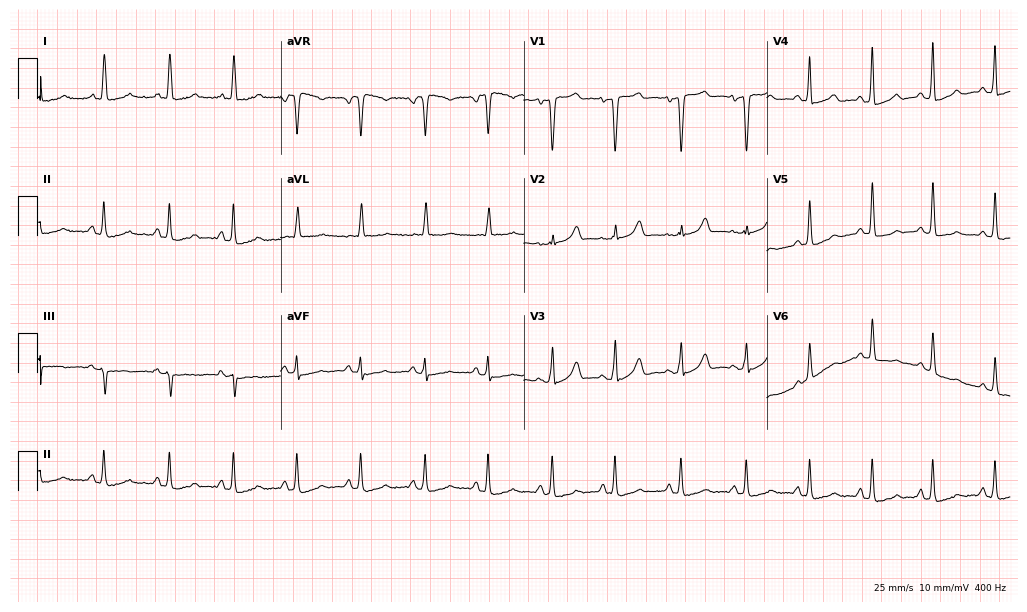
Electrocardiogram, a 64-year-old woman. Overall reading on record: normal ECG.